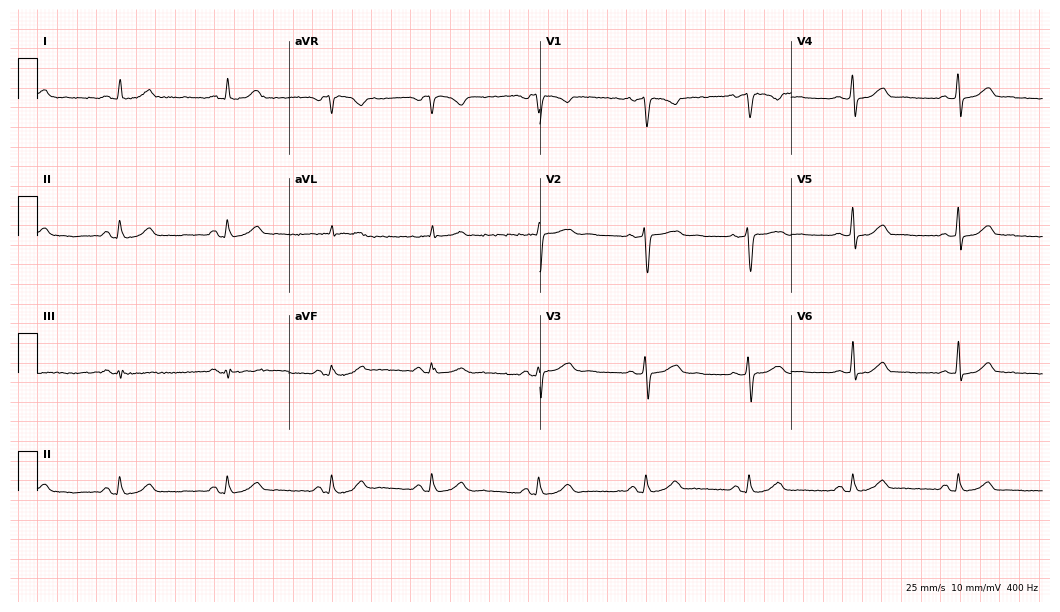
12-lead ECG from a 42-year-old female patient (10.2-second recording at 400 Hz). Recorded interpretation: within normal limits.